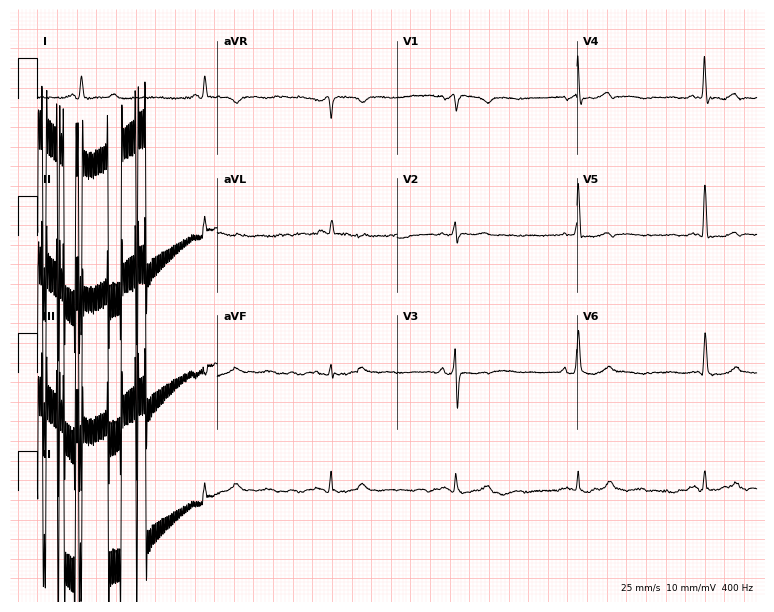
Electrocardiogram, a 73-year-old woman. Of the six screened findings (first-degree AV block, right bundle branch block (RBBB), left bundle branch block (LBBB), sinus bradycardia, atrial fibrillation (AF), sinus tachycardia), none is recorded. Other findings, if any, are not listed.